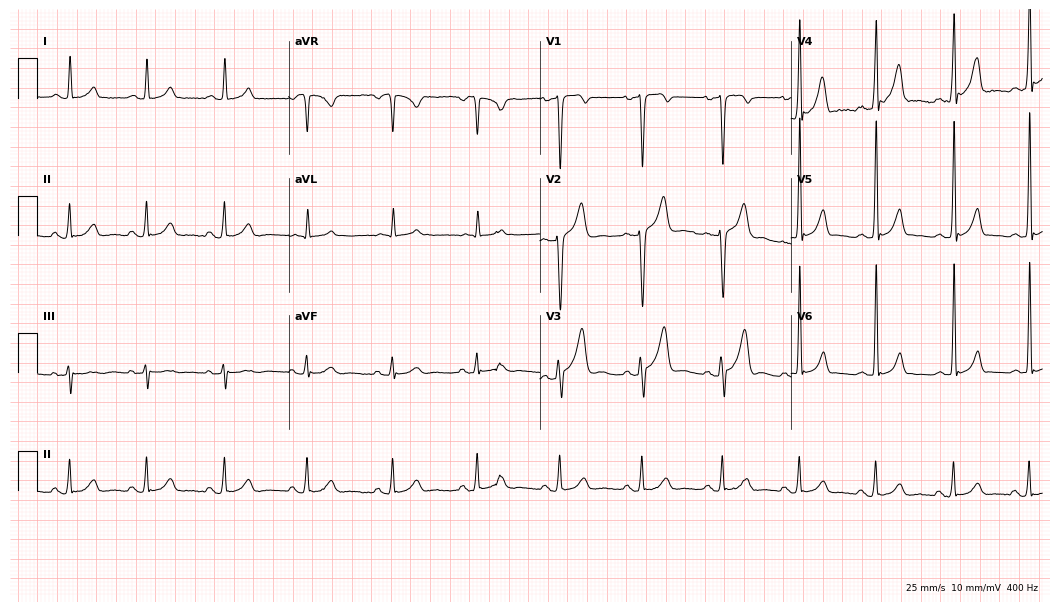
ECG (10.2-second recording at 400 Hz) — a 29-year-old man. Labelled as a normal ECG.